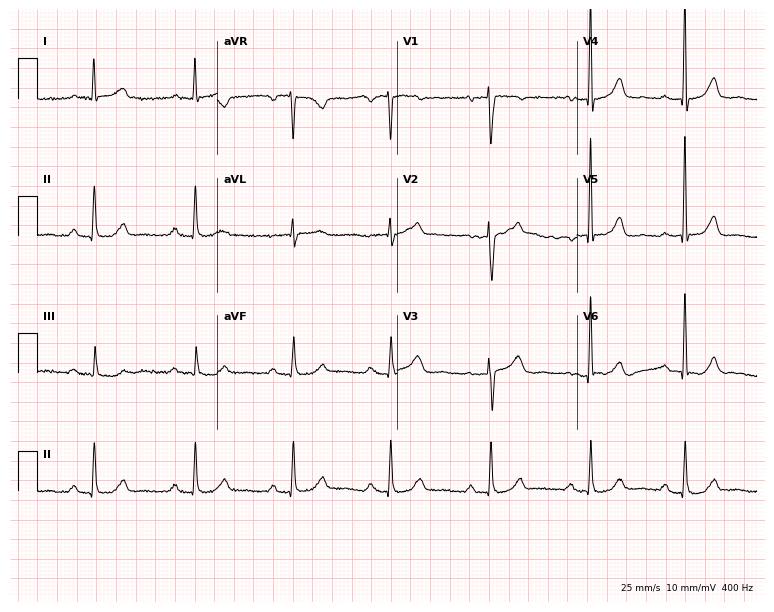
12-lead ECG from a 68-year-old woman. Recorded interpretation: within normal limits.